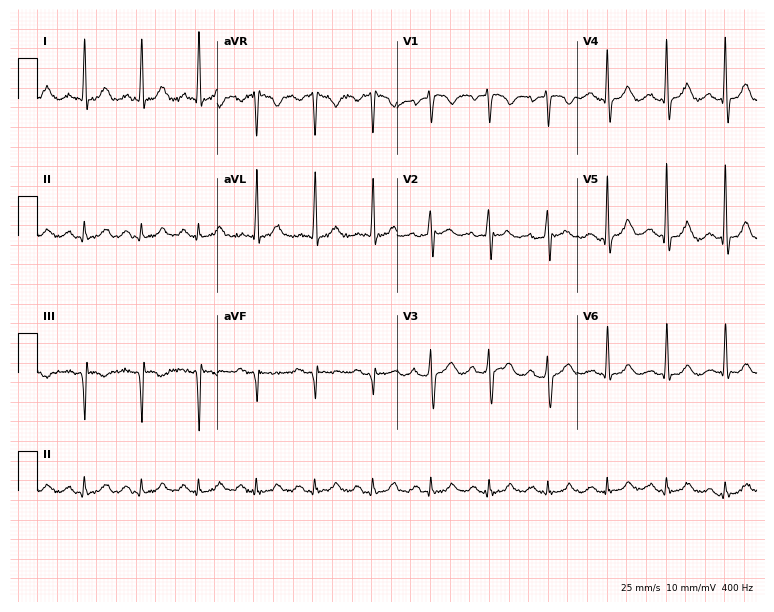
Standard 12-lead ECG recorded from a 75-year-old man. None of these six findings is recorded: first-degree AV block, right bundle branch block (RBBB), left bundle branch block (LBBB), sinus bradycardia, atrial fibrillation (AF), sinus tachycardia. Findings outside these six are not listed.